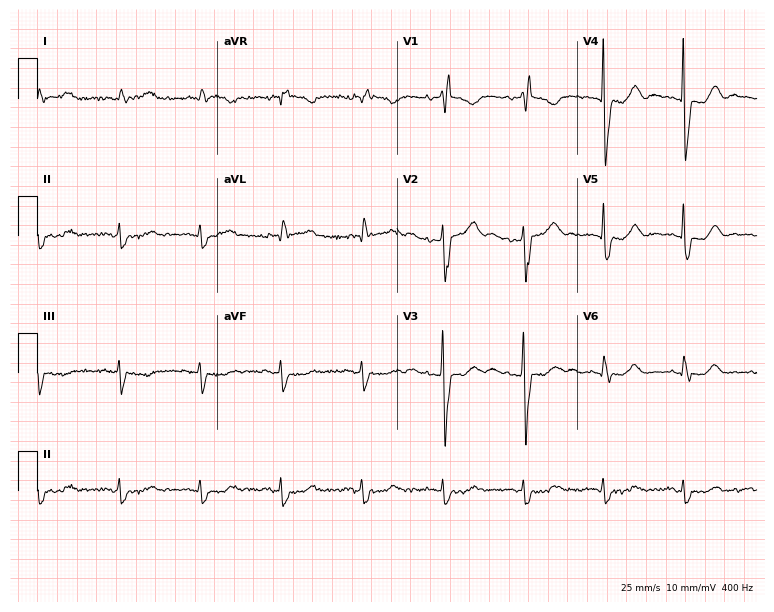
Electrocardiogram, a woman, 84 years old. Interpretation includes right bundle branch block.